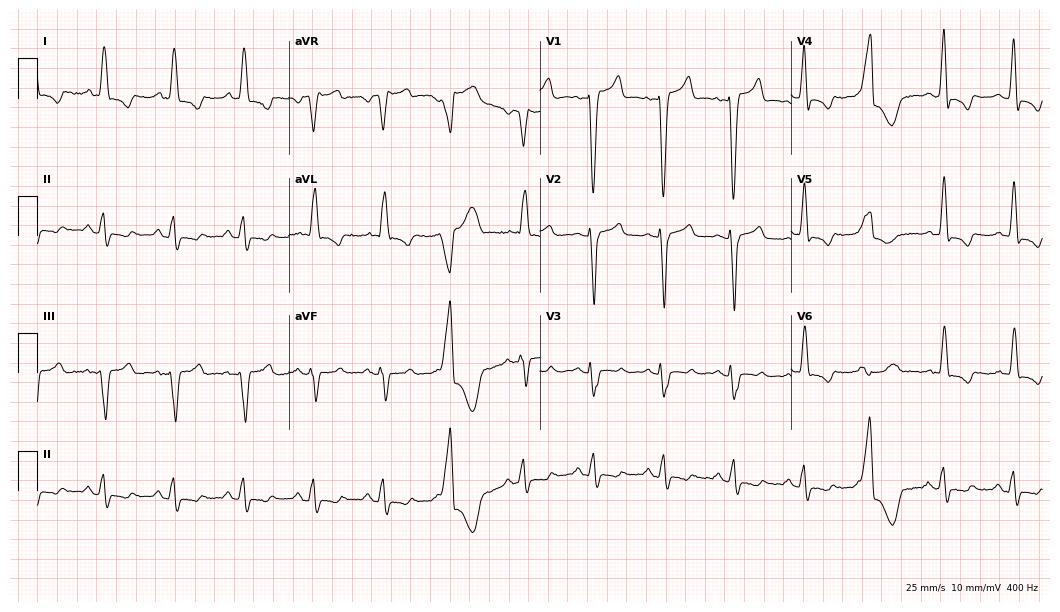
ECG — a female patient, 84 years old. Findings include left bundle branch block.